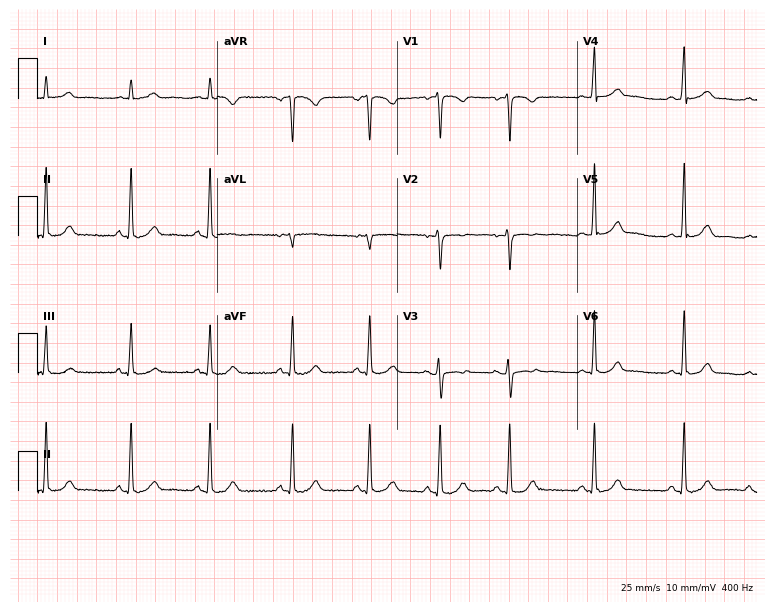
Electrocardiogram (7.3-second recording at 400 Hz), a female patient, 26 years old. Overall reading on record: normal ECG.